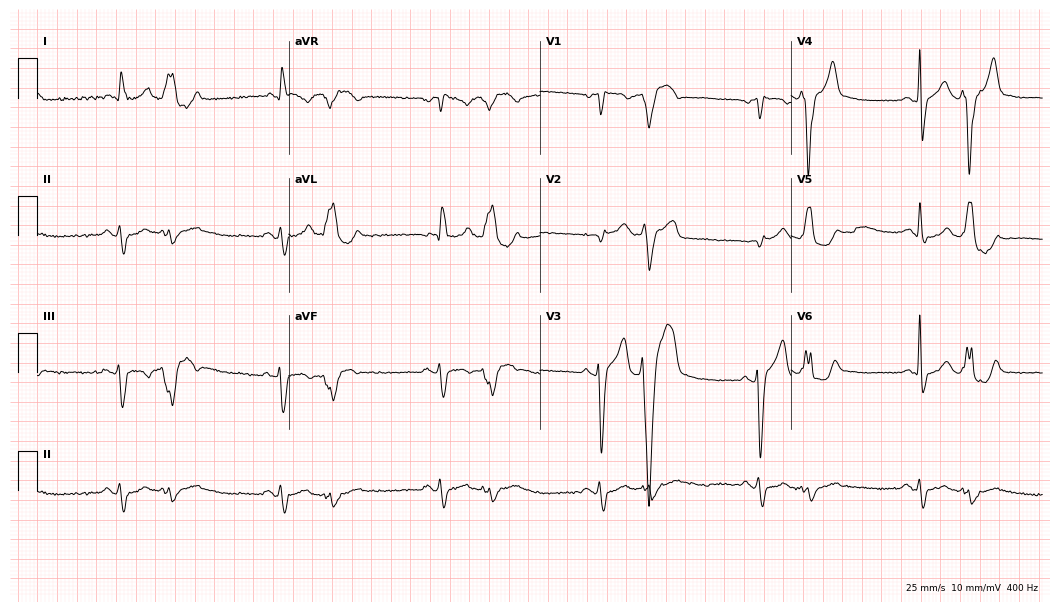
Standard 12-lead ECG recorded from a 66-year-old male patient. The tracing shows right bundle branch block.